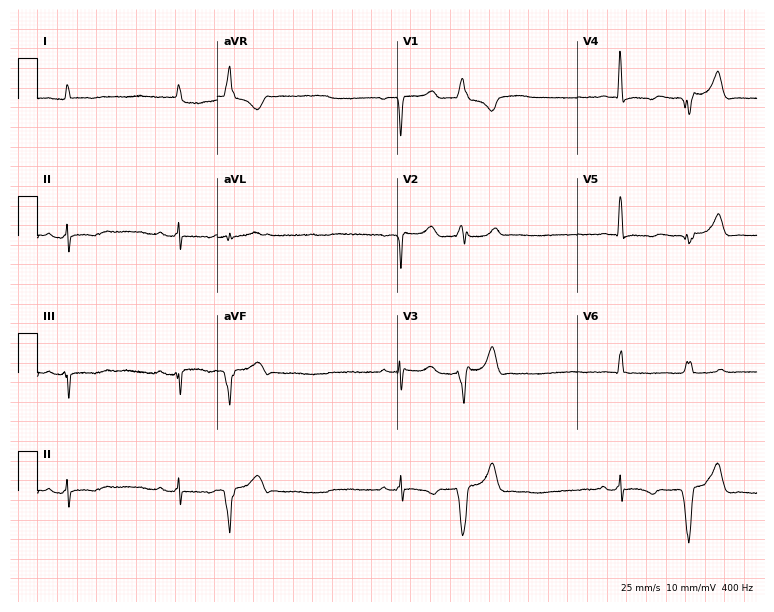
12-lead ECG (7.3-second recording at 400 Hz) from a male patient, 72 years old. Screened for six findings — first-degree AV block, right bundle branch block, left bundle branch block, sinus bradycardia, atrial fibrillation, sinus tachycardia — none is recorded.